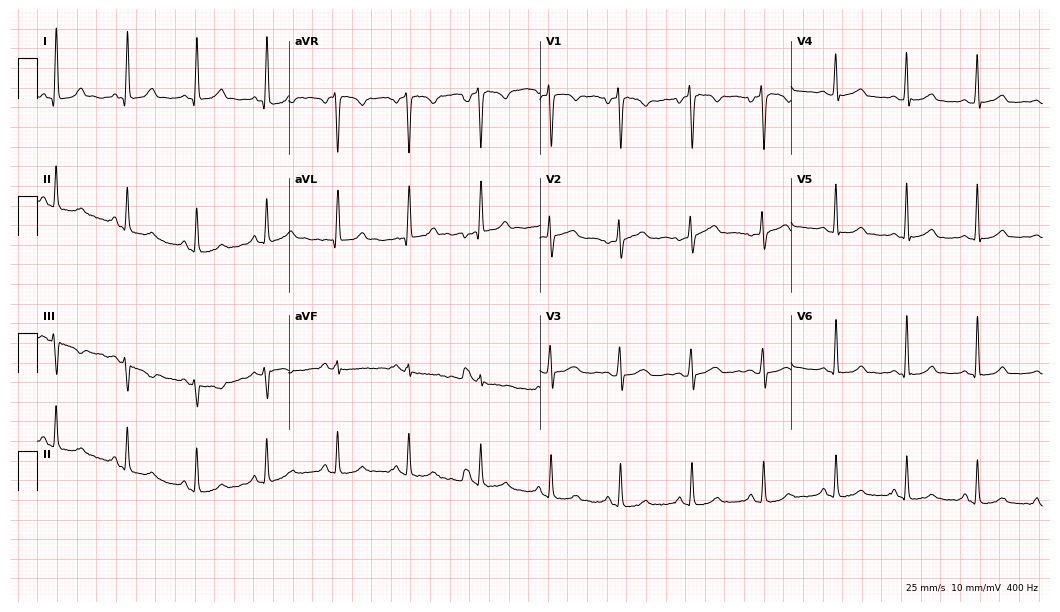
Standard 12-lead ECG recorded from a woman, 35 years old. Read as a normal ECG.